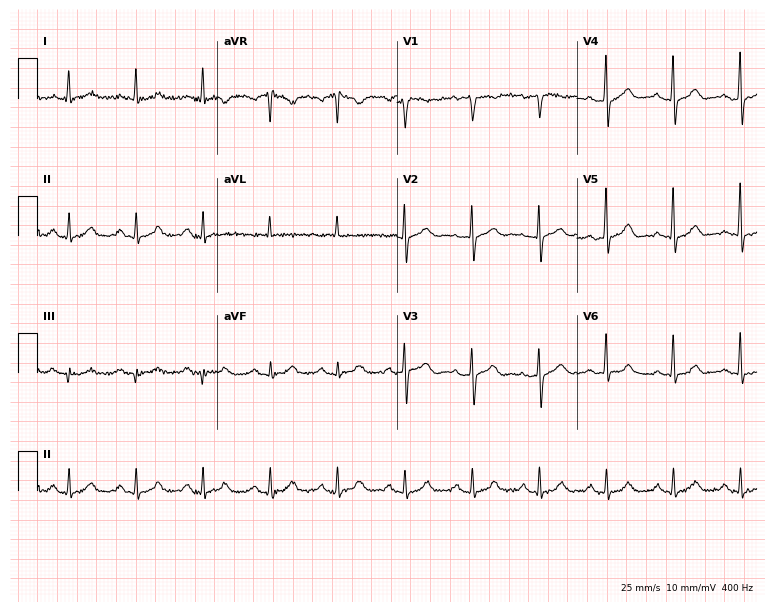
Electrocardiogram (7.3-second recording at 400 Hz), a 66-year-old male. Overall reading on record: normal ECG.